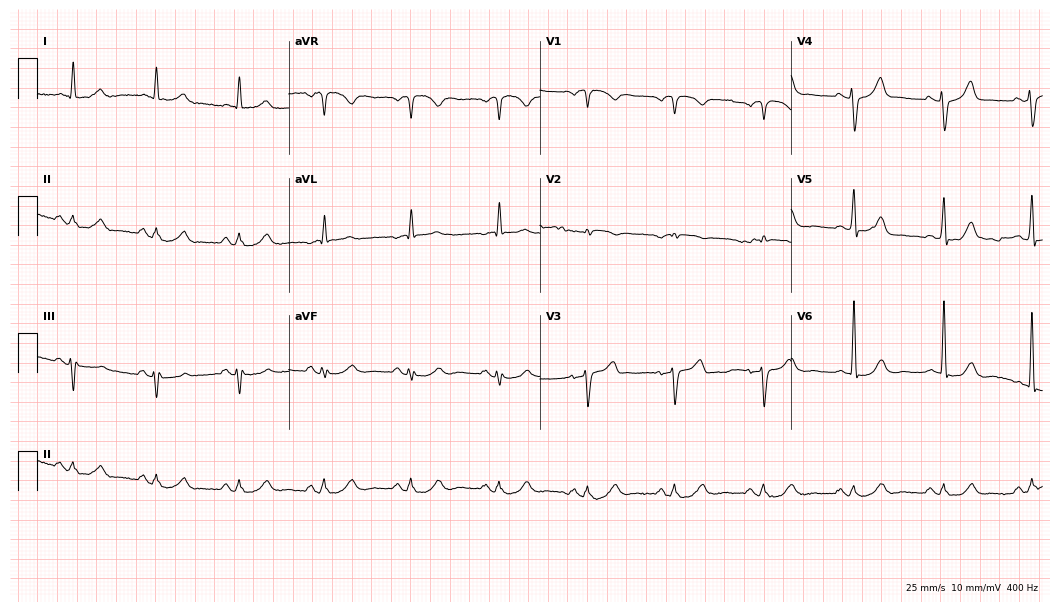
12-lead ECG (10.2-second recording at 400 Hz) from a male, 75 years old. Screened for six findings — first-degree AV block, right bundle branch block, left bundle branch block, sinus bradycardia, atrial fibrillation, sinus tachycardia — none is recorded. Findings outside these six are not listed.